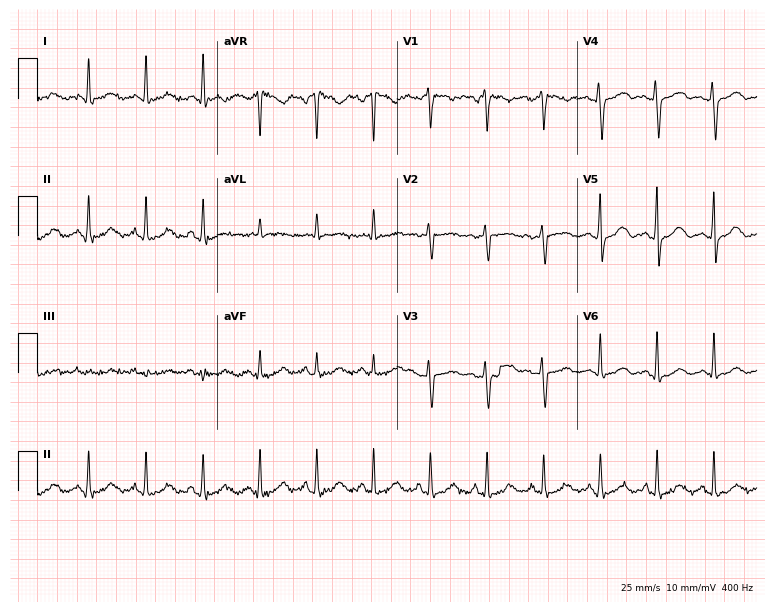
Standard 12-lead ECG recorded from a female patient, 37 years old. Read as a normal ECG.